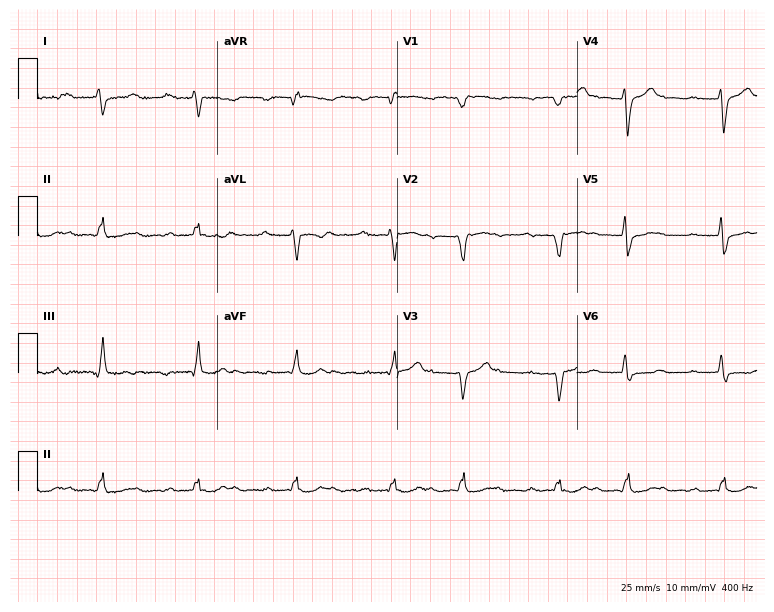
ECG — a female patient, 58 years old. Findings include first-degree AV block.